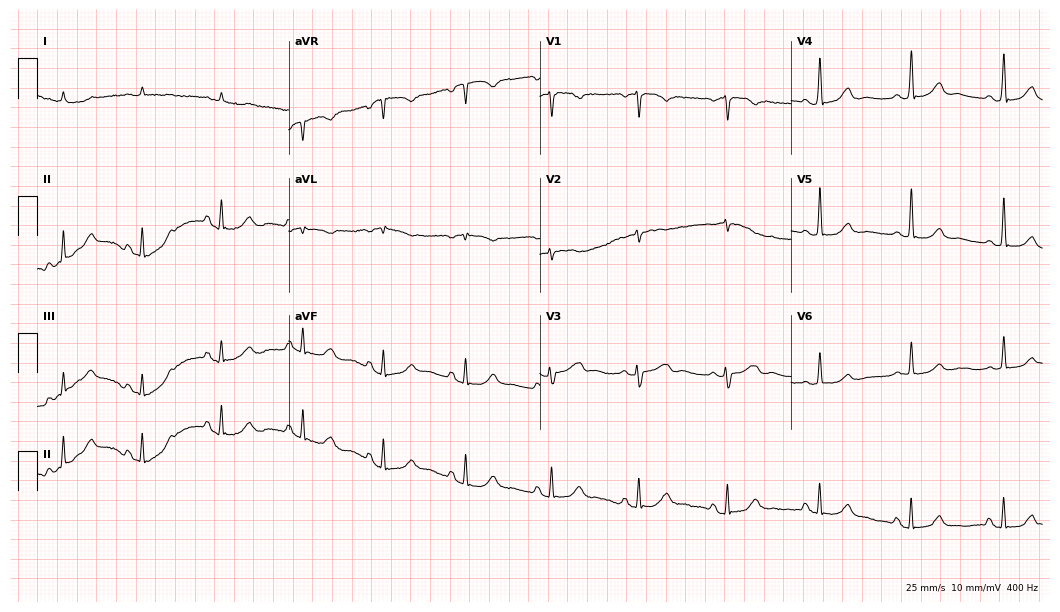
12-lead ECG from an 80-year-old male patient. Screened for six findings — first-degree AV block, right bundle branch block (RBBB), left bundle branch block (LBBB), sinus bradycardia, atrial fibrillation (AF), sinus tachycardia — none is recorded.